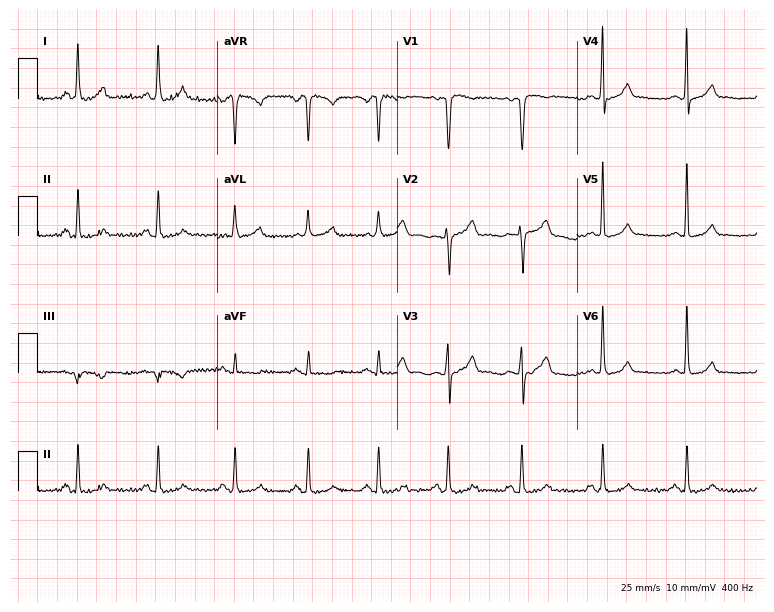
ECG — a 48-year-old female. Screened for six findings — first-degree AV block, right bundle branch block, left bundle branch block, sinus bradycardia, atrial fibrillation, sinus tachycardia — none is recorded. Only these six findings were labelled.